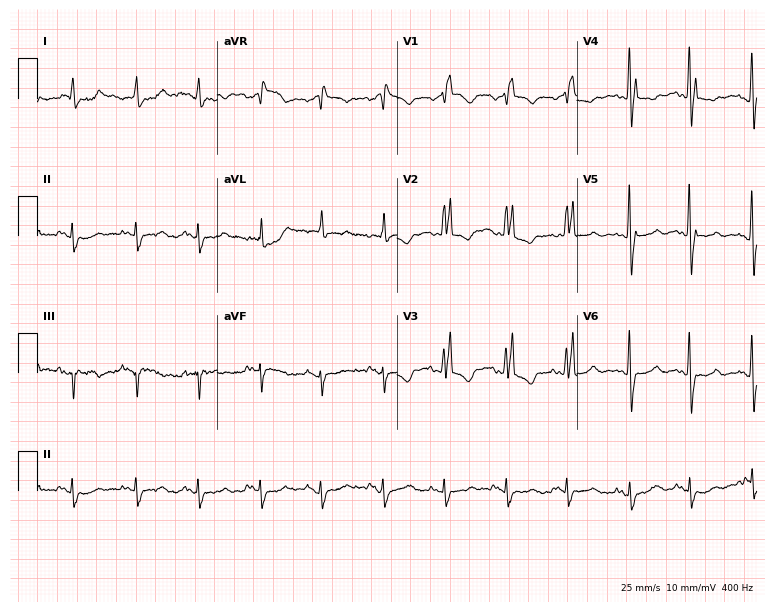
Resting 12-lead electrocardiogram. Patient: a 77-year-old female. The tracing shows right bundle branch block (RBBB).